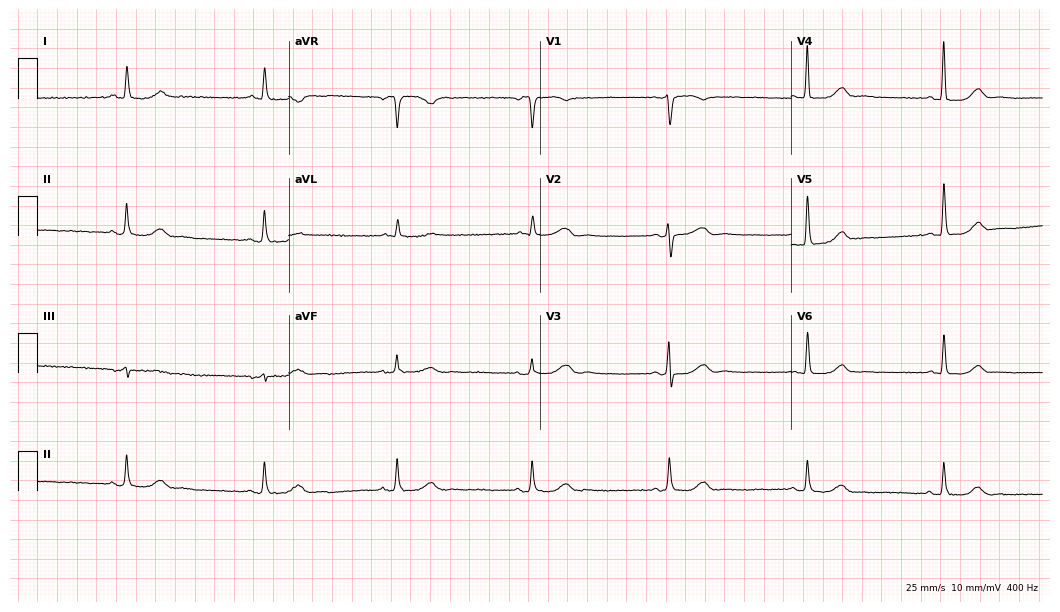
Resting 12-lead electrocardiogram (10.2-second recording at 400 Hz). Patient: a 75-year-old woman. The tracing shows sinus bradycardia (a sinus rate of 50 beats per minute or less).